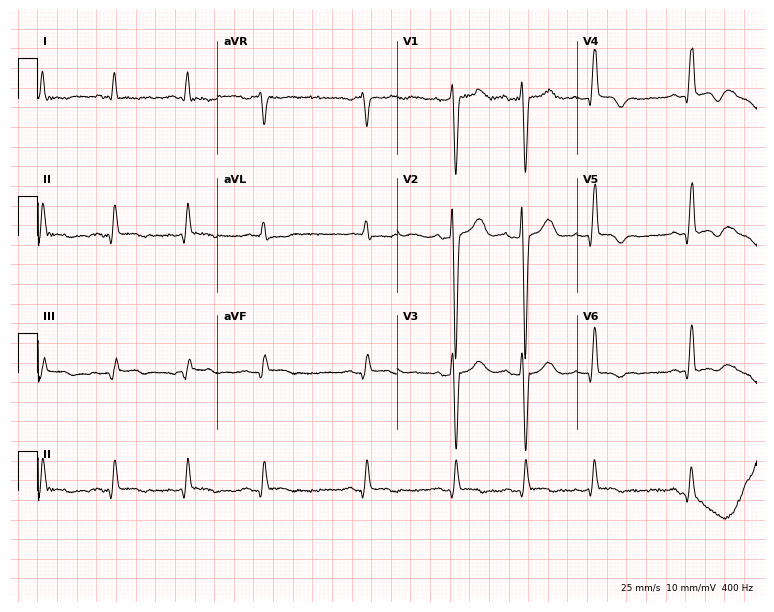
12-lead ECG from an 82-year-old male. No first-degree AV block, right bundle branch block (RBBB), left bundle branch block (LBBB), sinus bradycardia, atrial fibrillation (AF) or sinus tachycardia recorded for this tracing. Other findings, if any, are not listed.